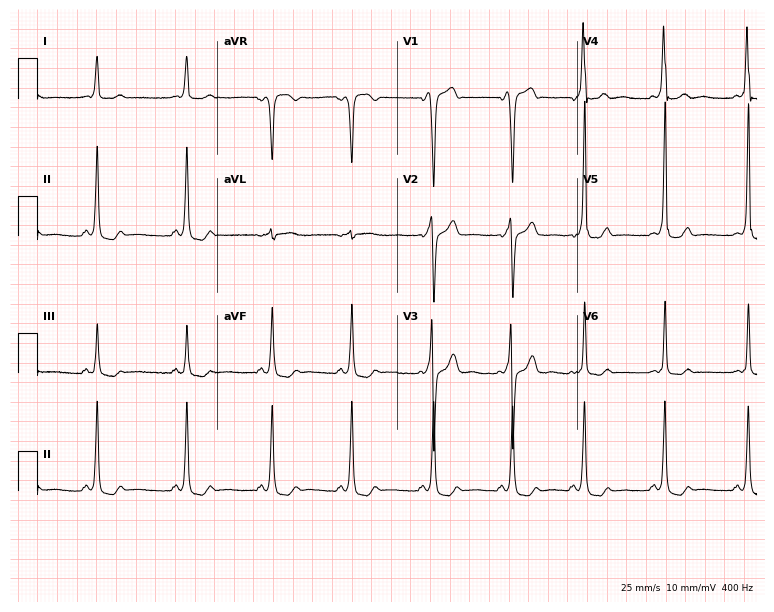
12-lead ECG from a 22-year-old male. Screened for six findings — first-degree AV block, right bundle branch block, left bundle branch block, sinus bradycardia, atrial fibrillation, sinus tachycardia — none is recorded. Other findings, if any, are not listed.